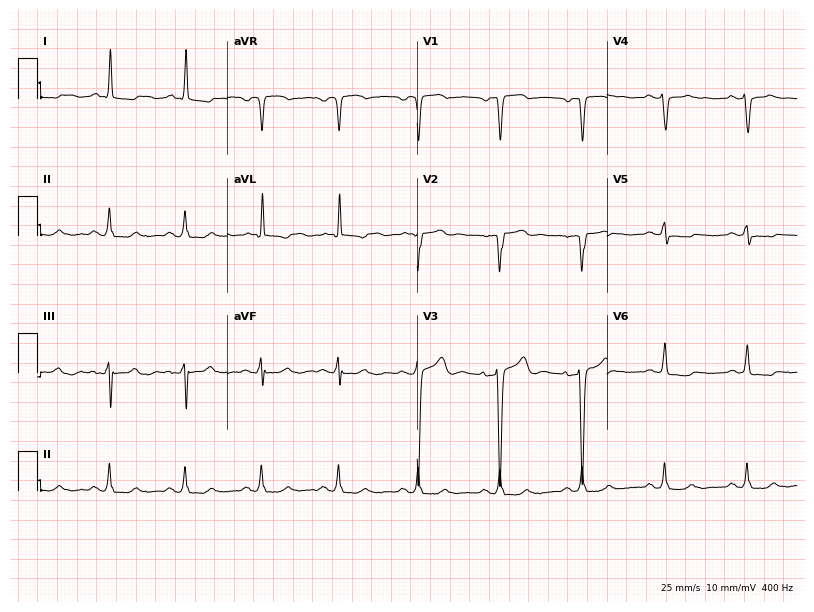
Electrocardiogram, a 47-year-old man. Of the six screened findings (first-degree AV block, right bundle branch block, left bundle branch block, sinus bradycardia, atrial fibrillation, sinus tachycardia), none is recorded. Only these six findings were labelled.